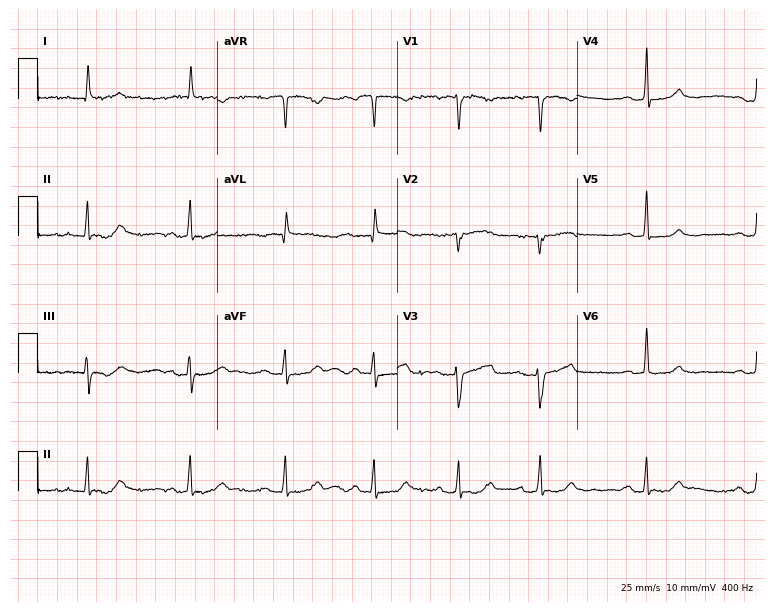
Electrocardiogram, an 81-year-old female patient. Of the six screened findings (first-degree AV block, right bundle branch block (RBBB), left bundle branch block (LBBB), sinus bradycardia, atrial fibrillation (AF), sinus tachycardia), none is recorded. Only these six findings were labelled.